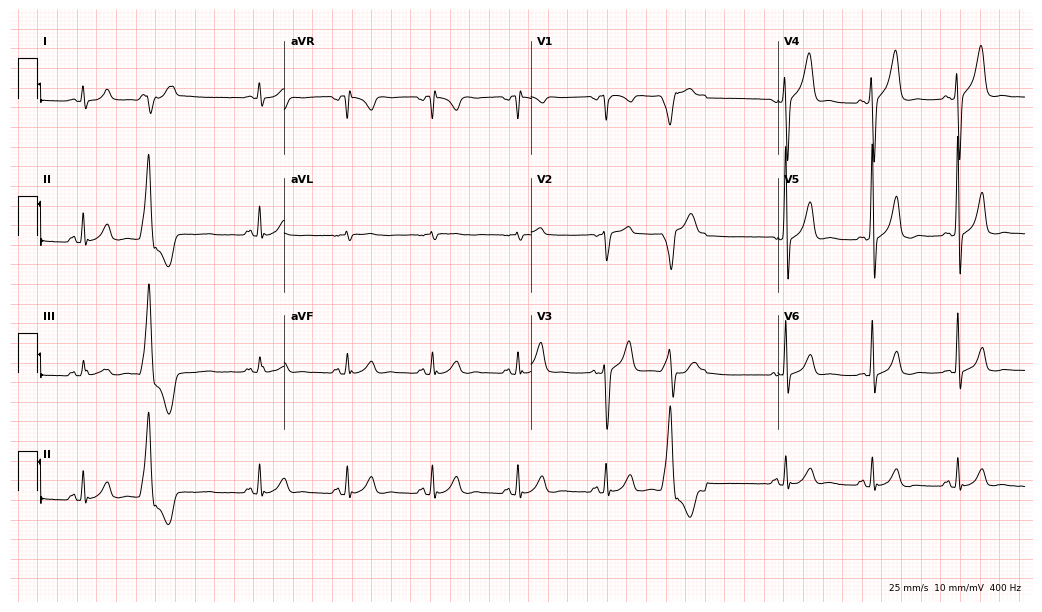
ECG — a male, 64 years old. Screened for six findings — first-degree AV block, right bundle branch block, left bundle branch block, sinus bradycardia, atrial fibrillation, sinus tachycardia — none is recorded. Only these six findings were labelled.